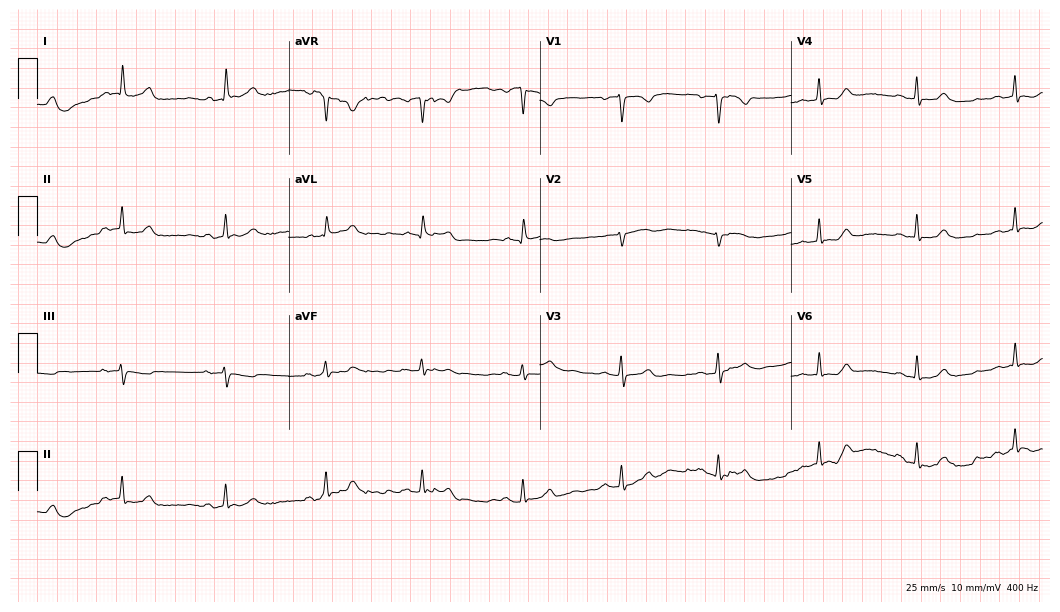
12-lead ECG from a 41-year-old female patient. Recorded interpretation: within normal limits.